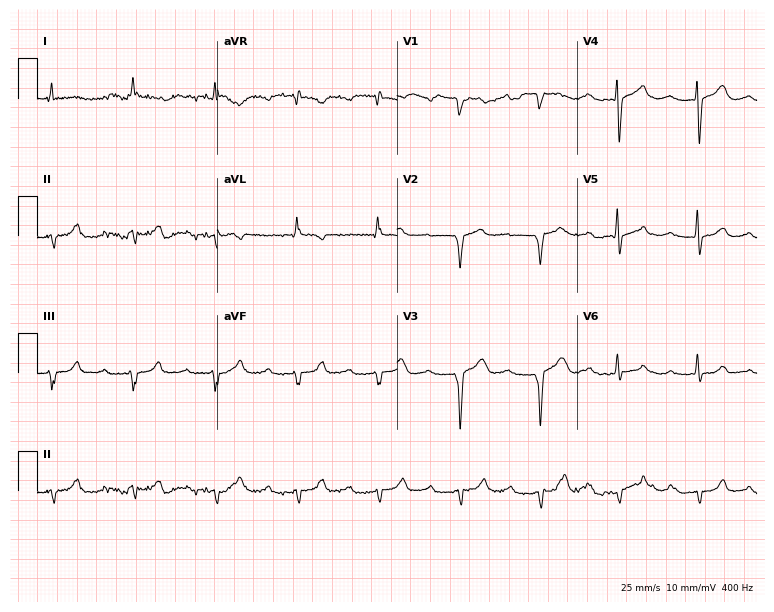
Standard 12-lead ECG recorded from a male patient, 65 years old. The tracing shows first-degree AV block.